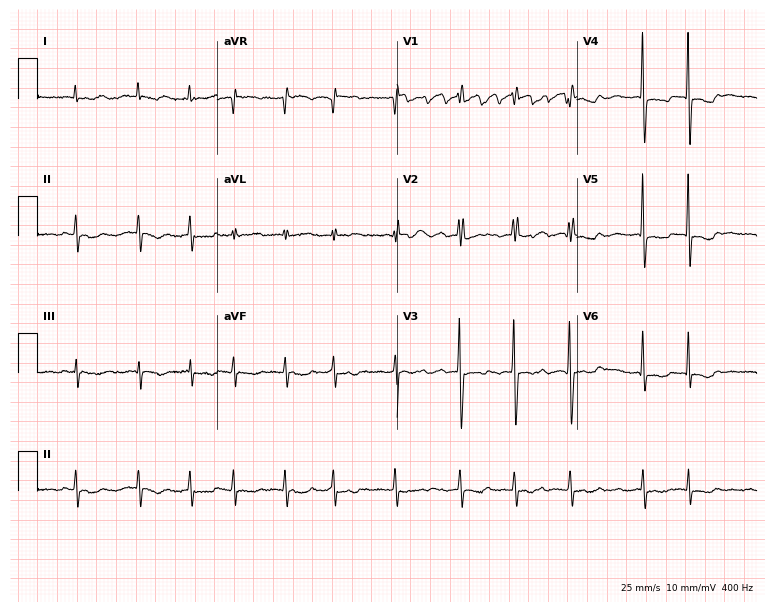
Electrocardiogram (7.3-second recording at 400 Hz), an 82-year-old female patient. Interpretation includes atrial fibrillation (AF).